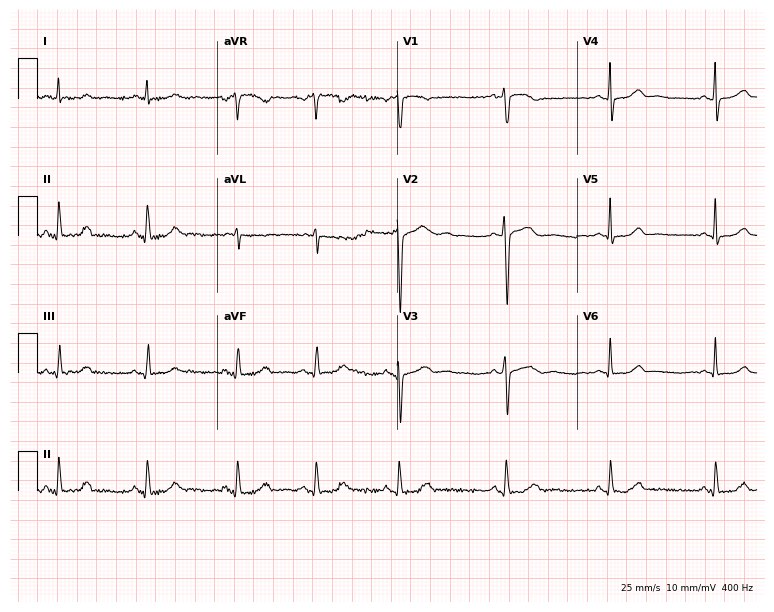
Standard 12-lead ECG recorded from a 30-year-old woman (7.3-second recording at 400 Hz). Read as a normal ECG.